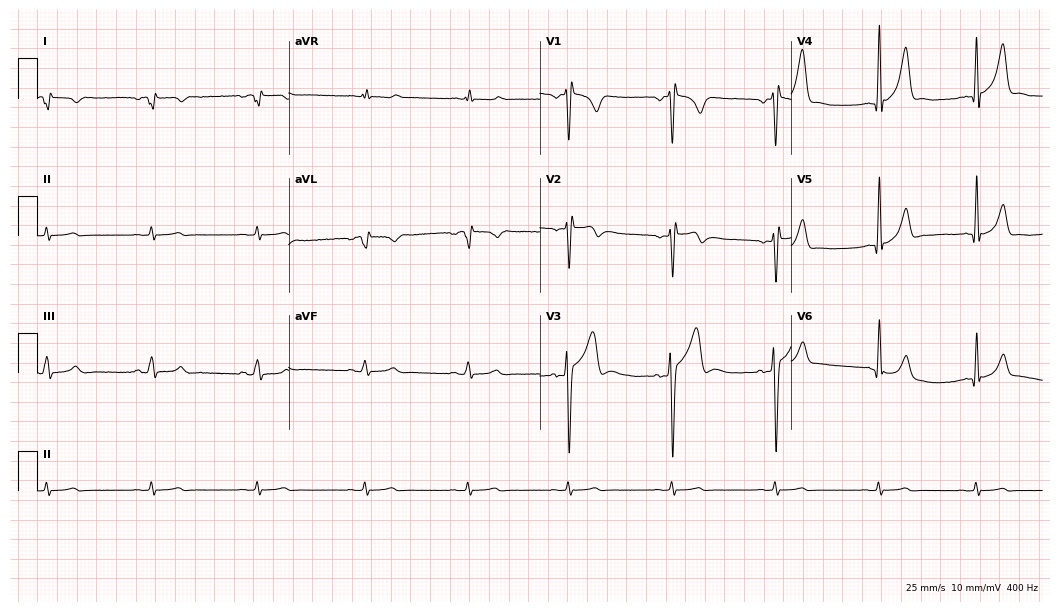
Electrocardiogram, a 26-year-old male patient. Of the six screened findings (first-degree AV block, right bundle branch block, left bundle branch block, sinus bradycardia, atrial fibrillation, sinus tachycardia), none is recorded. Other findings, if any, are not listed.